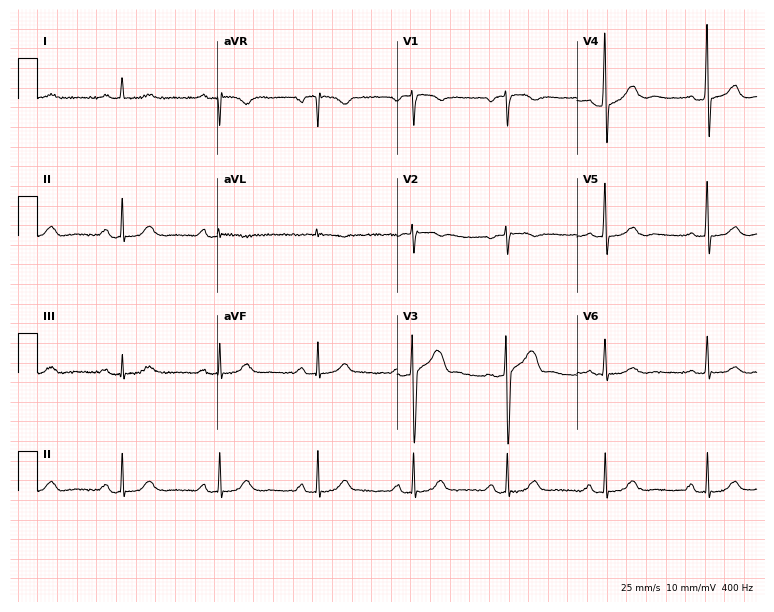
Resting 12-lead electrocardiogram (7.3-second recording at 400 Hz). Patient: a male, 72 years old. Read as a normal ECG.